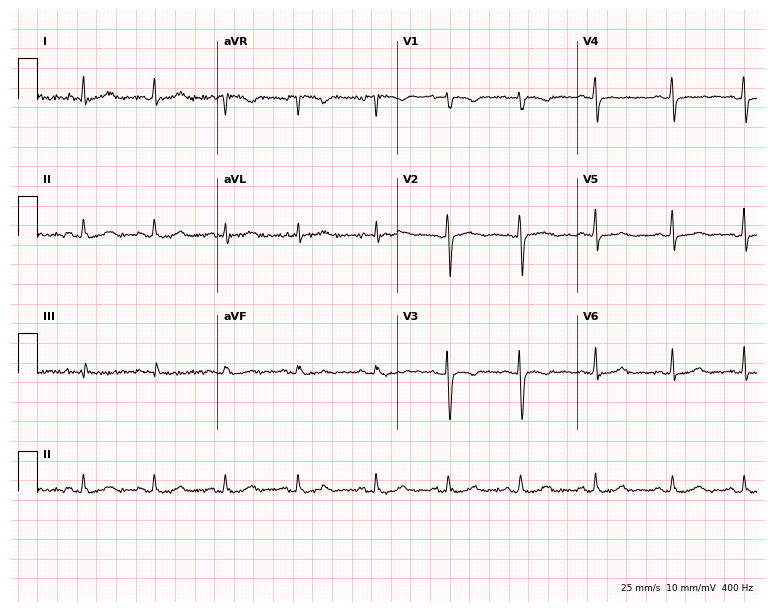
Electrocardiogram, a woman, 31 years old. Of the six screened findings (first-degree AV block, right bundle branch block (RBBB), left bundle branch block (LBBB), sinus bradycardia, atrial fibrillation (AF), sinus tachycardia), none is recorded. Findings outside these six are not listed.